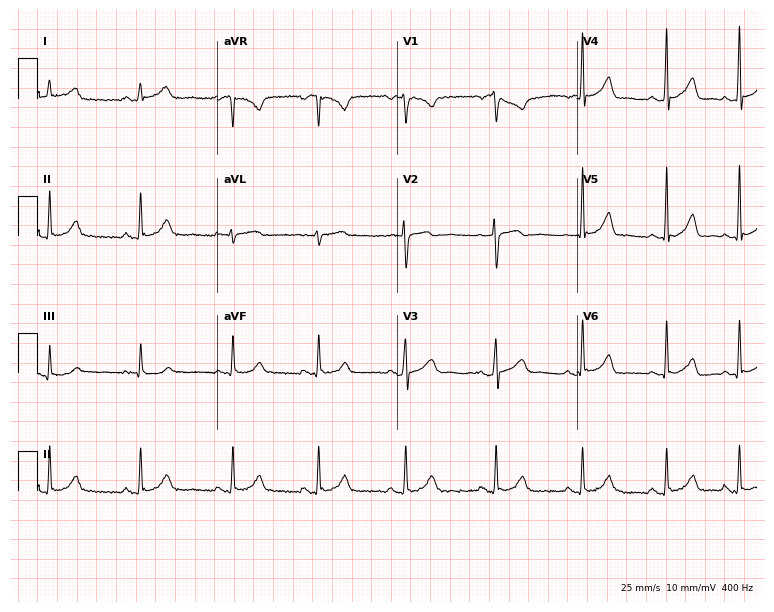
Resting 12-lead electrocardiogram (7.3-second recording at 400 Hz). Patient: a 38-year-old woman. Read as a normal ECG.